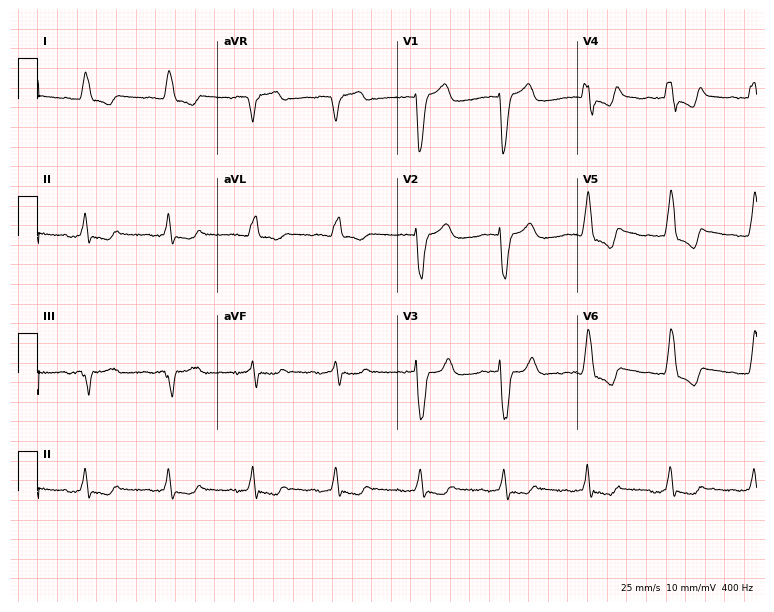
Resting 12-lead electrocardiogram (7.3-second recording at 400 Hz). Patient: a male, 76 years old. The tracing shows left bundle branch block.